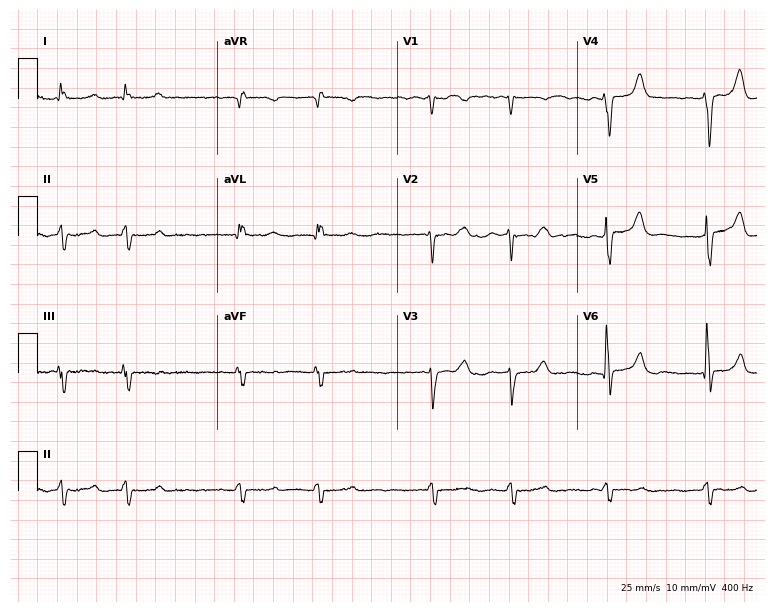
Electrocardiogram (7.3-second recording at 400 Hz), a woman, 75 years old. Interpretation includes atrial fibrillation.